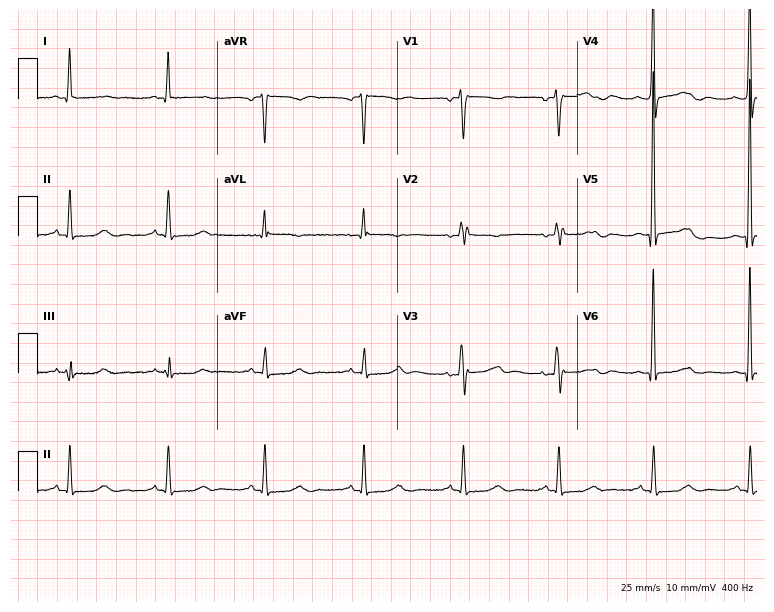
Electrocardiogram (7.3-second recording at 400 Hz), a 44-year-old female. Of the six screened findings (first-degree AV block, right bundle branch block, left bundle branch block, sinus bradycardia, atrial fibrillation, sinus tachycardia), none is recorded.